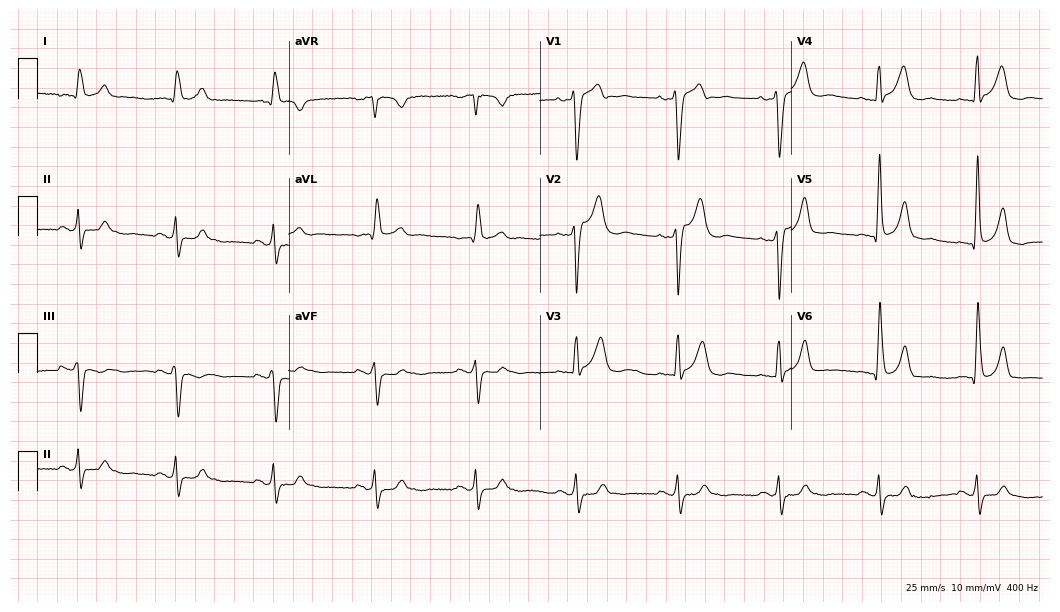
Resting 12-lead electrocardiogram (10.2-second recording at 400 Hz). Patient: a 74-year-old male. The tracing shows left bundle branch block.